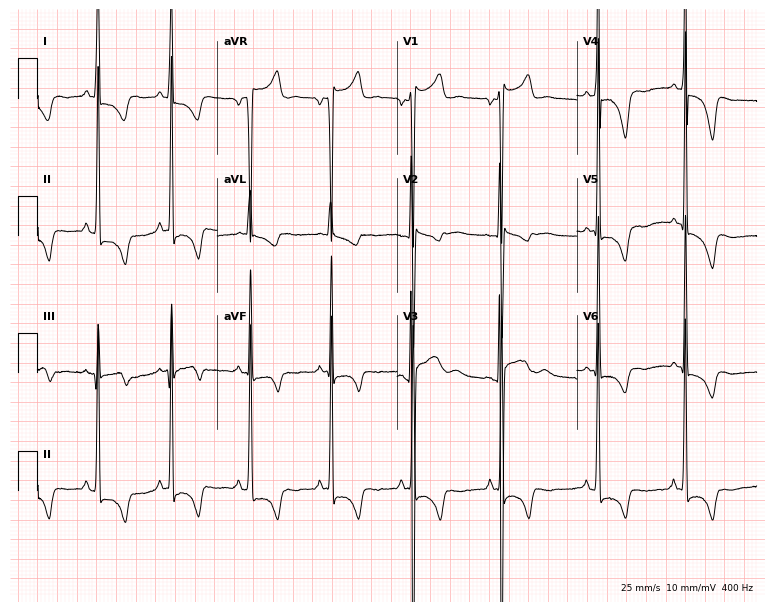
Electrocardiogram (7.3-second recording at 400 Hz), a female, 21 years old. Of the six screened findings (first-degree AV block, right bundle branch block, left bundle branch block, sinus bradycardia, atrial fibrillation, sinus tachycardia), none is recorded. Other findings, if any, are not listed.